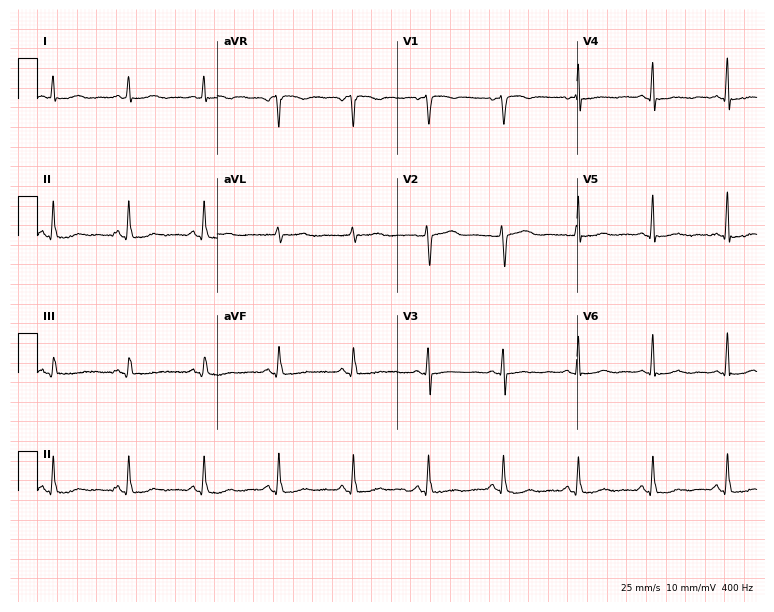
Electrocardiogram, a 50-year-old female. Of the six screened findings (first-degree AV block, right bundle branch block, left bundle branch block, sinus bradycardia, atrial fibrillation, sinus tachycardia), none is recorded.